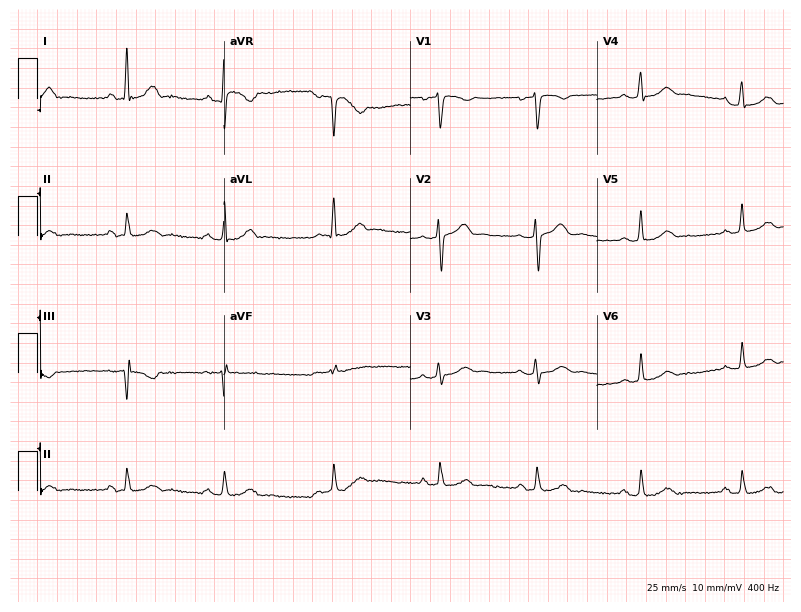
12-lead ECG (7.6-second recording at 400 Hz) from a female patient, 38 years old. Labelled as a normal ECG.